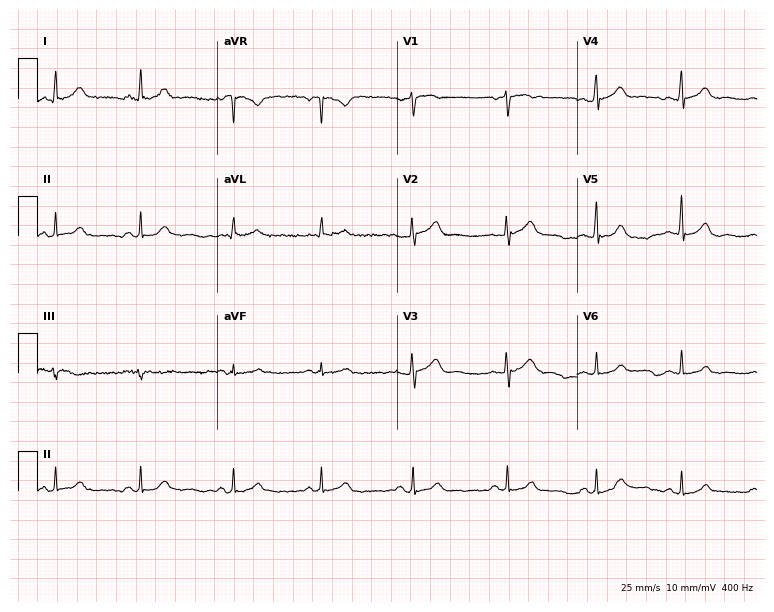
Electrocardiogram (7.3-second recording at 400 Hz), a 42-year-old woman. Of the six screened findings (first-degree AV block, right bundle branch block (RBBB), left bundle branch block (LBBB), sinus bradycardia, atrial fibrillation (AF), sinus tachycardia), none is recorded.